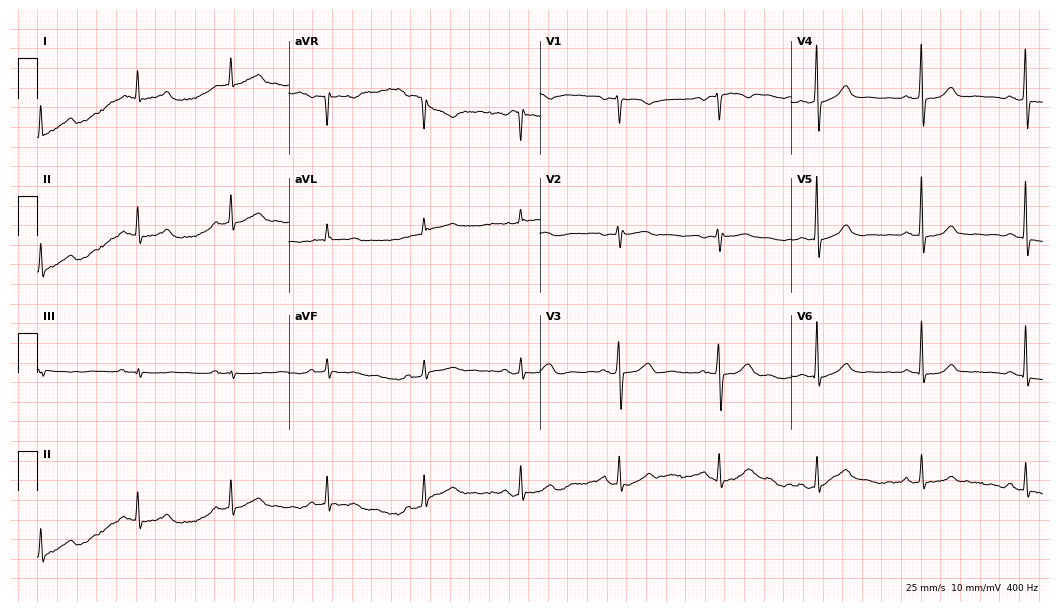
Resting 12-lead electrocardiogram. Patient: a 68-year-old female. None of these six findings is recorded: first-degree AV block, right bundle branch block (RBBB), left bundle branch block (LBBB), sinus bradycardia, atrial fibrillation (AF), sinus tachycardia. Findings outside these six are not listed.